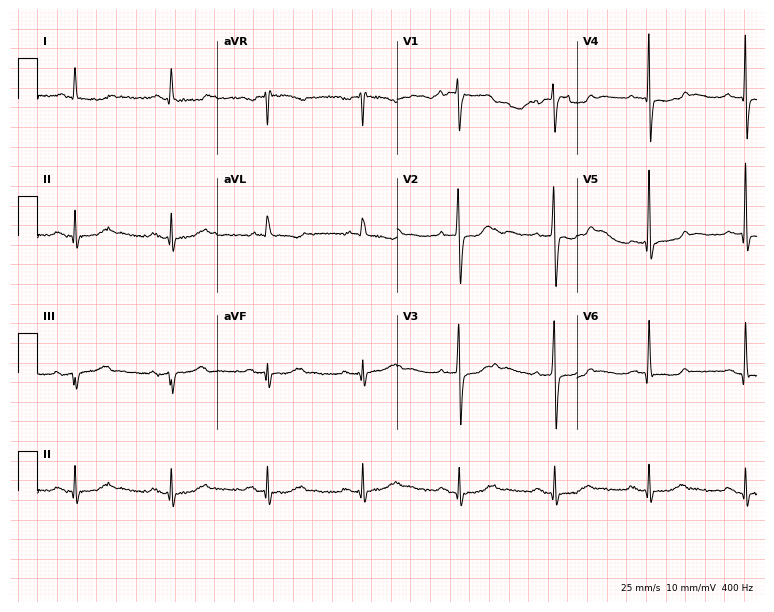
ECG — a woman, 73 years old. Screened for six findings — first-degree AV block, right bundle branch block, left bundle branch block, sinus bradycardia, atrial fibrillation, sinus tachycardia — none is recorded.